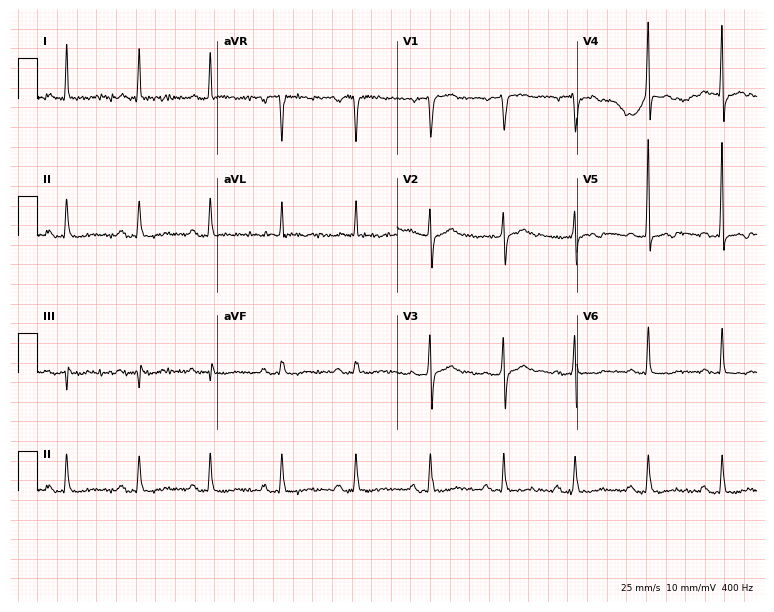
Standard 12-lead ECG recorded from a 76-year-old man (7.3-second recording at 400 Hz). Read as a normal ECG.